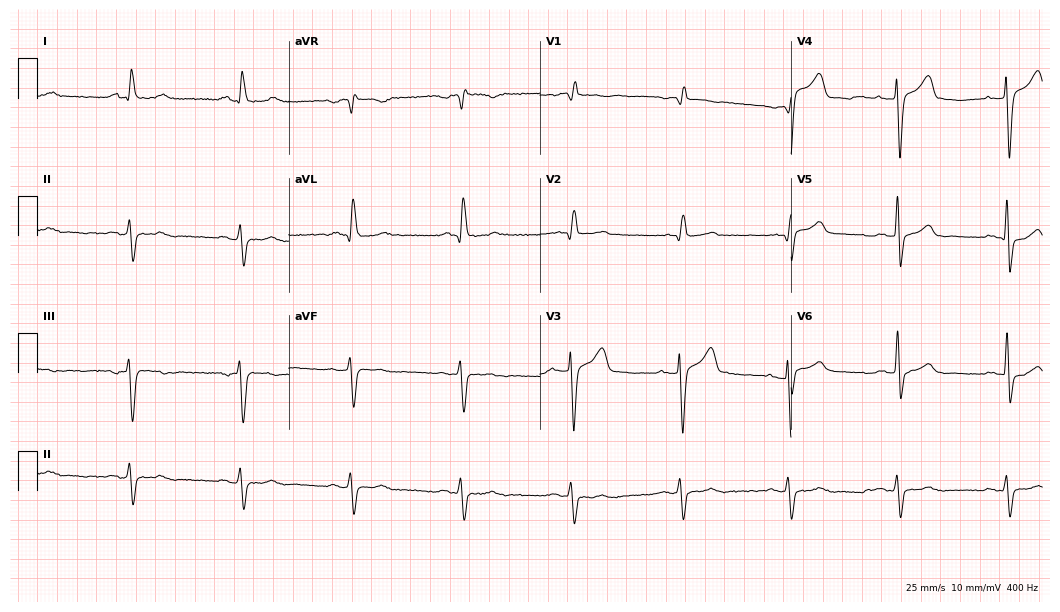
Resting 12-lead electrocardiogram. Patient: a 79-year-old male. The tracing shows right bundle branch block.